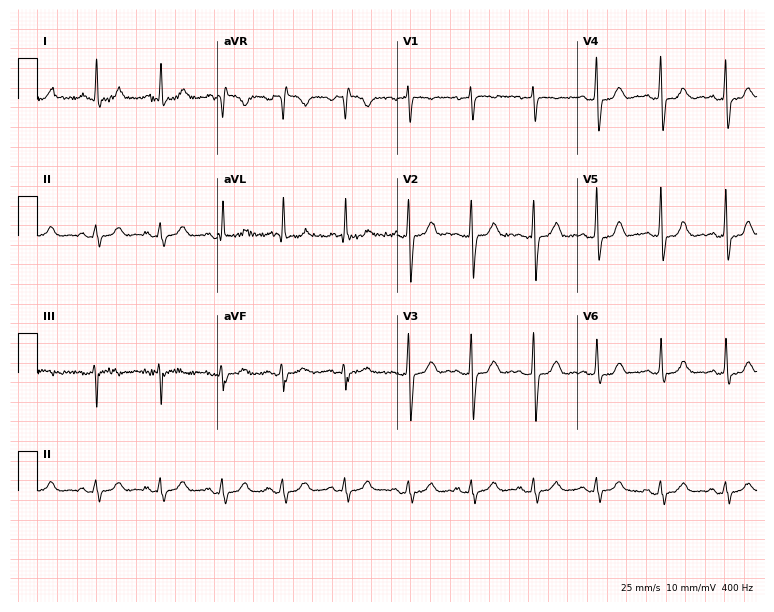
12-lead ECG from a female, 59 years old (7.3-second recording at 400 Hz). Recorded interpretation: within normal limits.